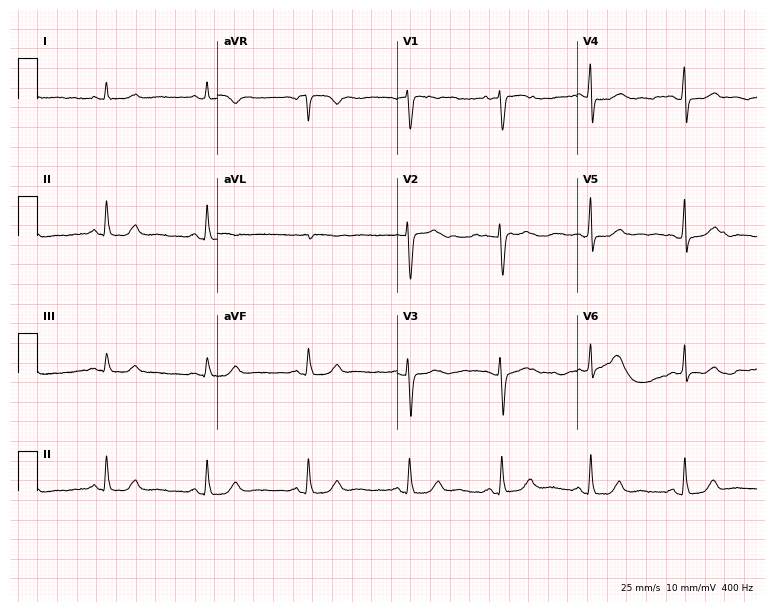
Resting 12-lead electrocardiogram. Patient: a woman, 40 years old. Read as a normal ECG.